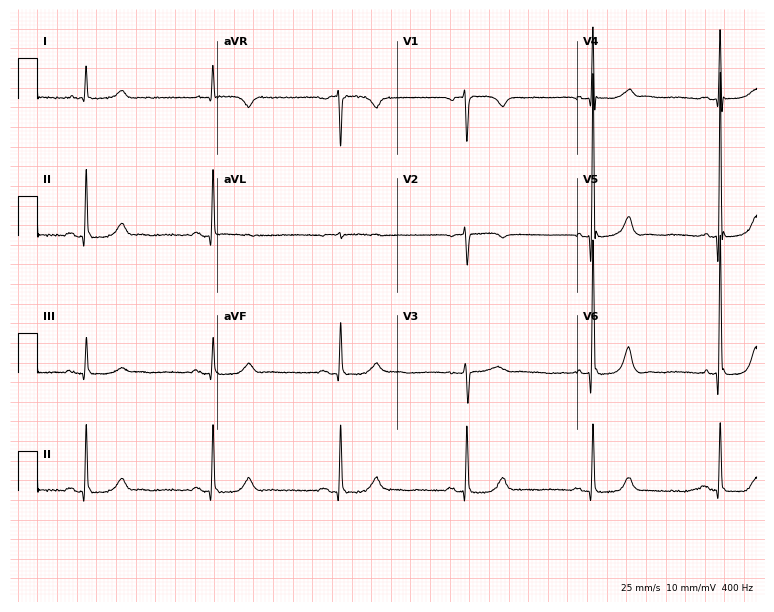
Standard 12-lead ECG recorded from an 85-year-old woman (7.3-second recording at 400 Hz). None of these six findings is recorded: first-degree AV block, right bundle branch block, left bundle branch block, sinus bradycardia, atrial fibrillation, sinus tachycardia. Only these six findings were labelled.